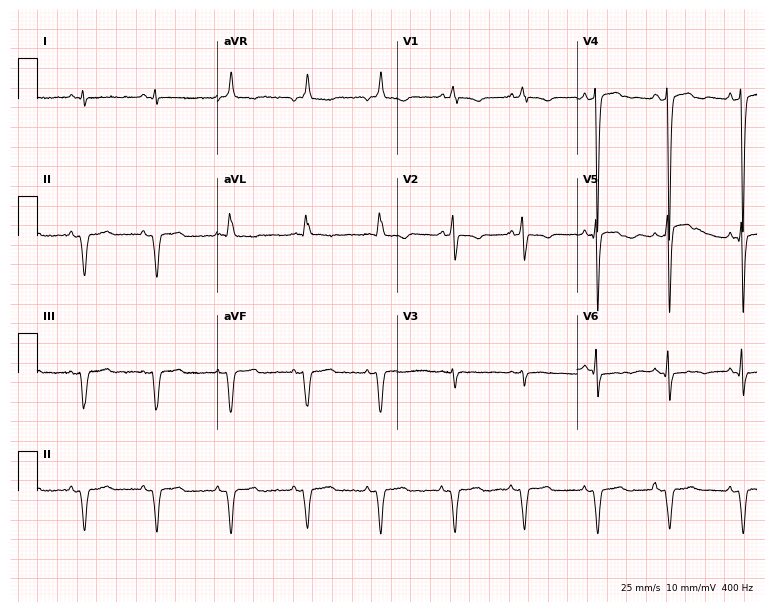
Standard 12-lead ECG recorded from a man, 80 years old (7.3-second recording at 400 Hz). None of these six findings is recorded: first-degree AV block, right bundle branch block, left bundle branch block, sinus bradycardia, atrial fibrillation, sinus tachycardia. Other findings, if any, are not listed.